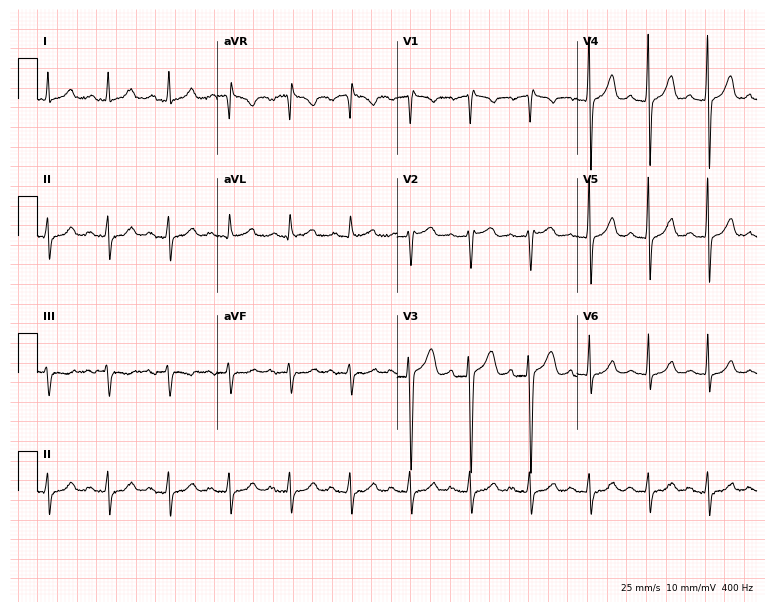
Resting 12-lead electrocardiogram. Patient: a female, 53 years old. None of these six findings is recorded: first-degree AV block, right bundle branch block, left bundle branch block, sinus bradycardia, atrial fibrillation, sinus tachycardia. Findings outside these six are not listed.